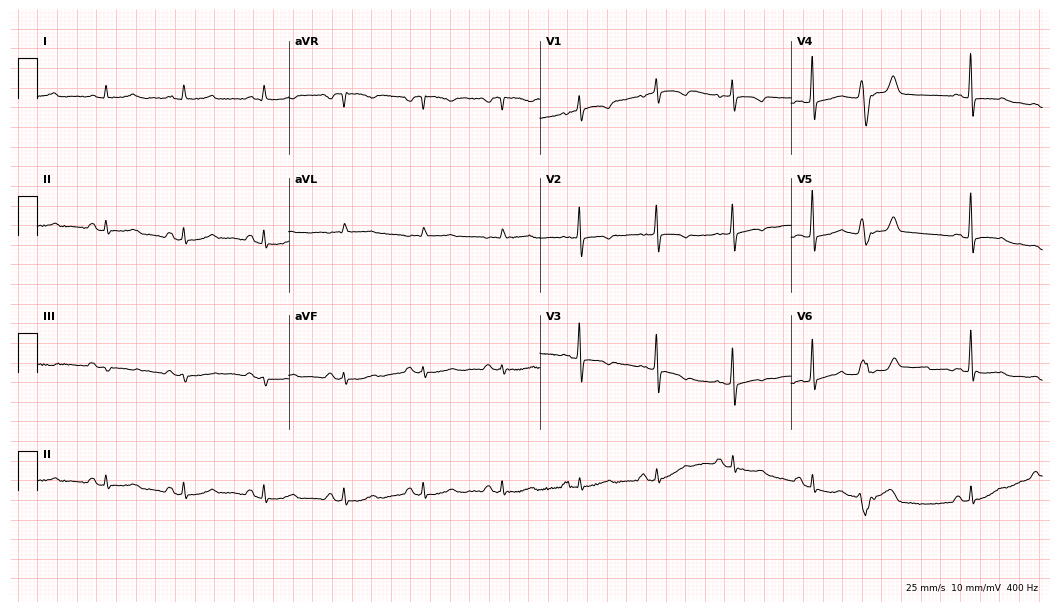
Resting 12-lead electrocardiogram (10.2-second recording at 400 Hz). Patient: a female, 74 years old. None of these six findings is recorded: first-degree AV block, right bundle branch block, left bundle branch block, sinus bradycardia, atrial fibrillation, sinus tachycardia.